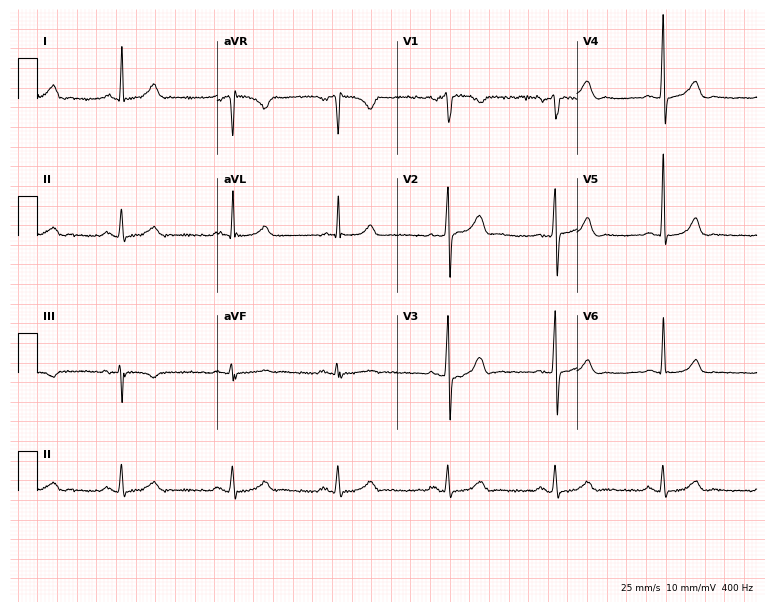
ECG — a 59-year-old male patient. Labelled as a normal ECG.